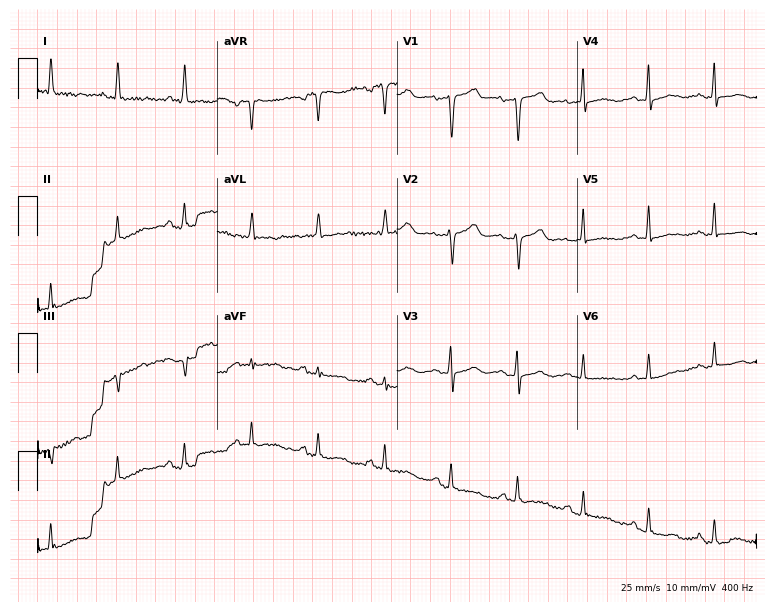
12-lead ECG (7.3-second recording at 400 Hz) from a 66-year-old woman. Screened for six findings — first-degree AV block, right bundle branch block, left bundle branch block, sinus bradycardia, atrial fibrillation, sinus tachycardia — none is recorded. Other findings, if any, are not listed.